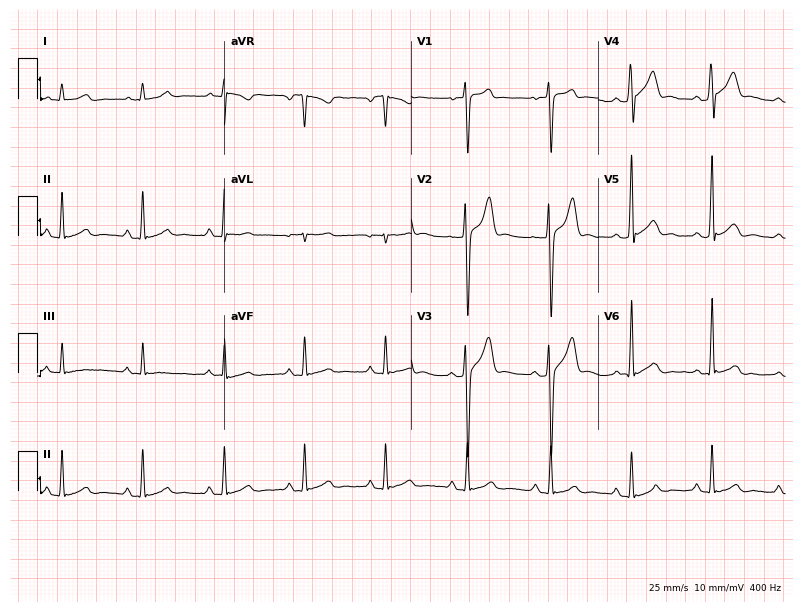
Electrocardiogram, a 19-year-old man. Overall reading on record: normal ECG.